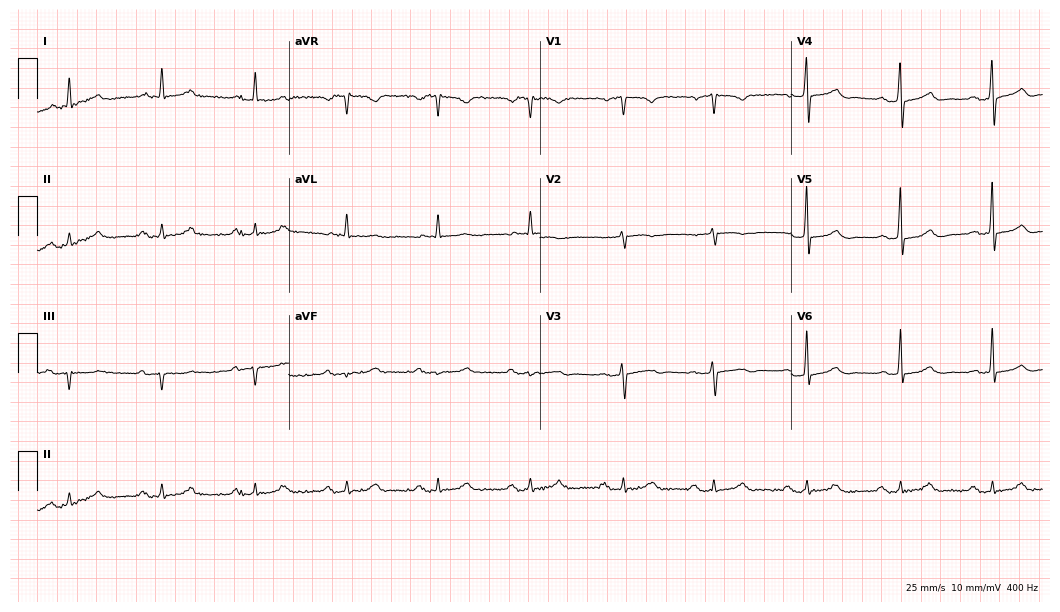
Electrocardiogram (10.2-second recording at 400 Hz), a man, 78 years old. Interpretation includes first-degree AV block.